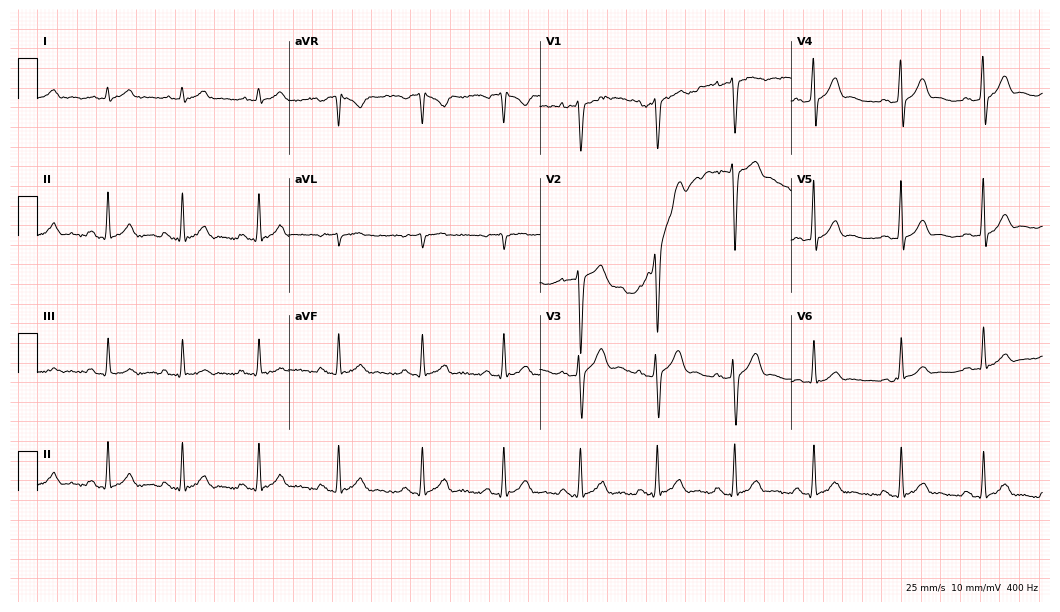
12-lead ECG from a male patient, 24 years old (10.2-second recording at 400 Hz). No first-degree AV block, right bundle branch block, left bundle branch block, sinus bradycardia, atrial fibrillation or sinus tachycardia recorded for this tracing.